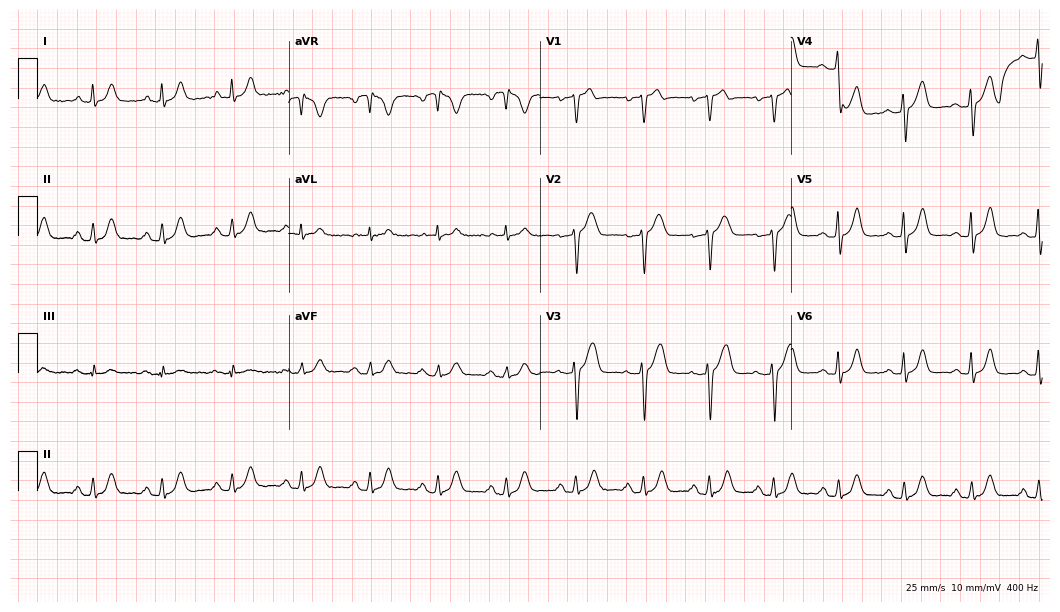
Standard 12-lead ECG recorded from a female patient, 44 years old (10.2-second recording at 400 Hz). Read as a normal ECG.